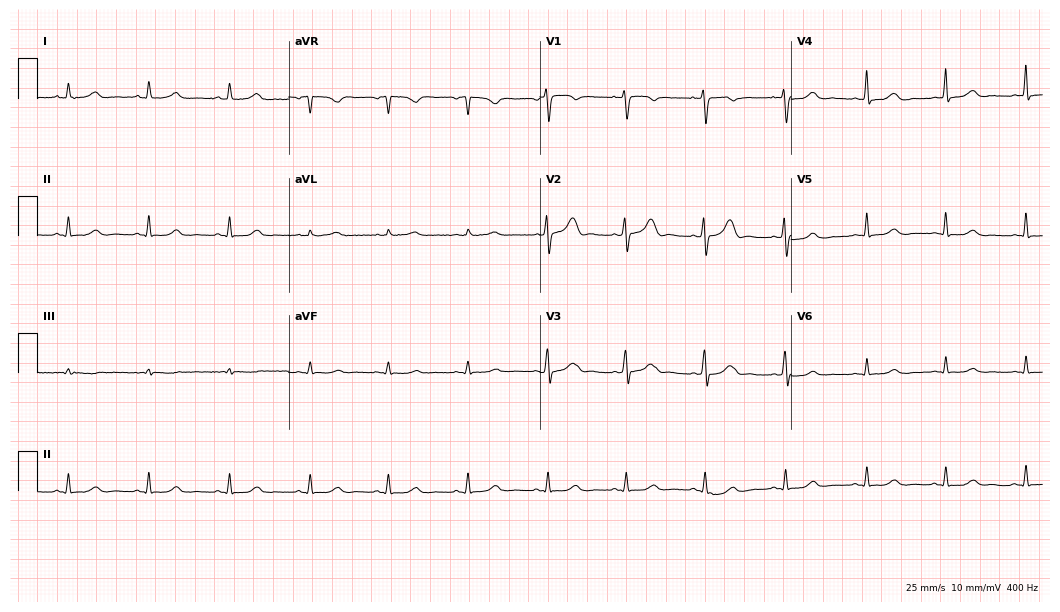
12-lead ECG from a 43-year-old female. Screened for six findings — first-degree AV block, right bundle branch block, left bundle branch block, sinus bradycardia, atrial fibrillation, sinus tachycardia — none is recorded.